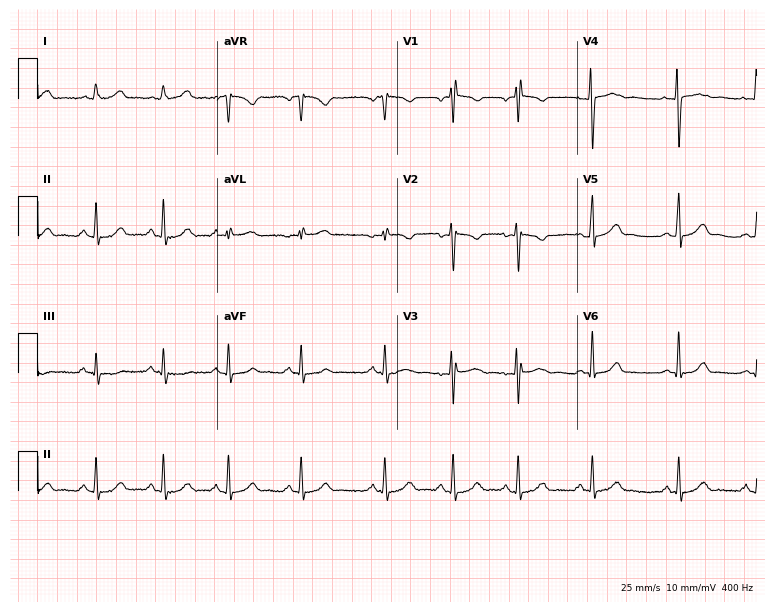
12-lead ECG from a female, 26 years old (7.3-second recording at 400 Hz). No first-degree AV block, right bundle branch block, left bundle branch block, sinus bradycardia, atrial fibrillation or sinus tachycardia recorded for this tracing.